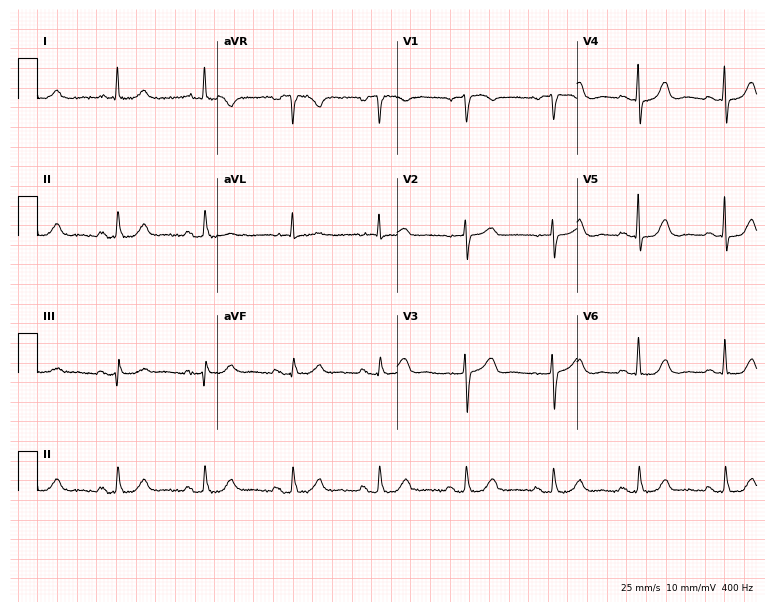
12-lead ECG from an 80-year-old woman. Labelled as a normal ECG.